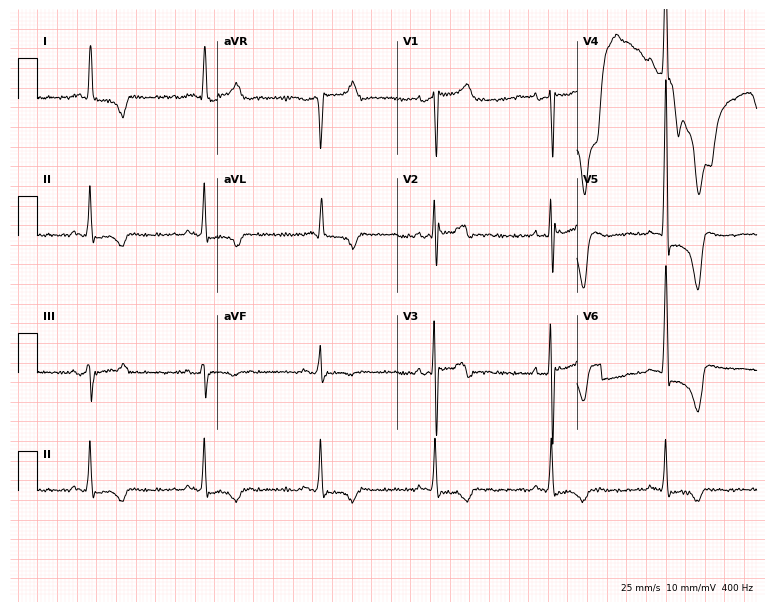
ECG (7.3-second recording at 400 Hz) — a man, 74 years old. Screened for six findings — first-degree AV block, right bundle branch block, left bundle branch block, sinus bradycardia, atrial fibrillation, sinus tachycardia — none is recorded.